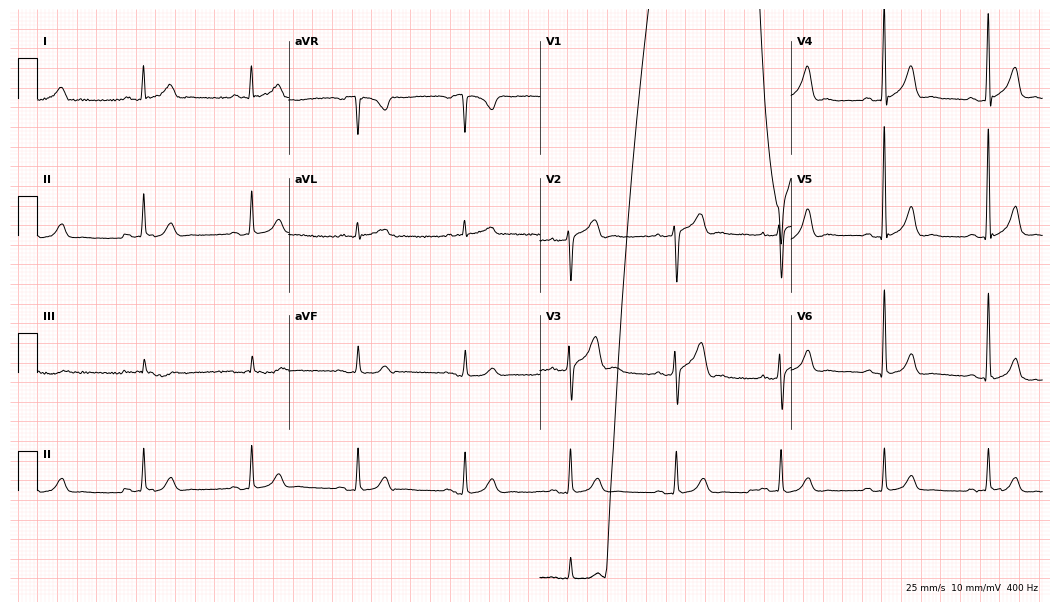
Standard 12-lead ECG recorded from a male patient, 53 years old. None of these six findings is recorded: first-degree AV block, right bundle branch block, left bundle branch block, sinus bradycardia, atrial fibrillation, sinus tachycardia.